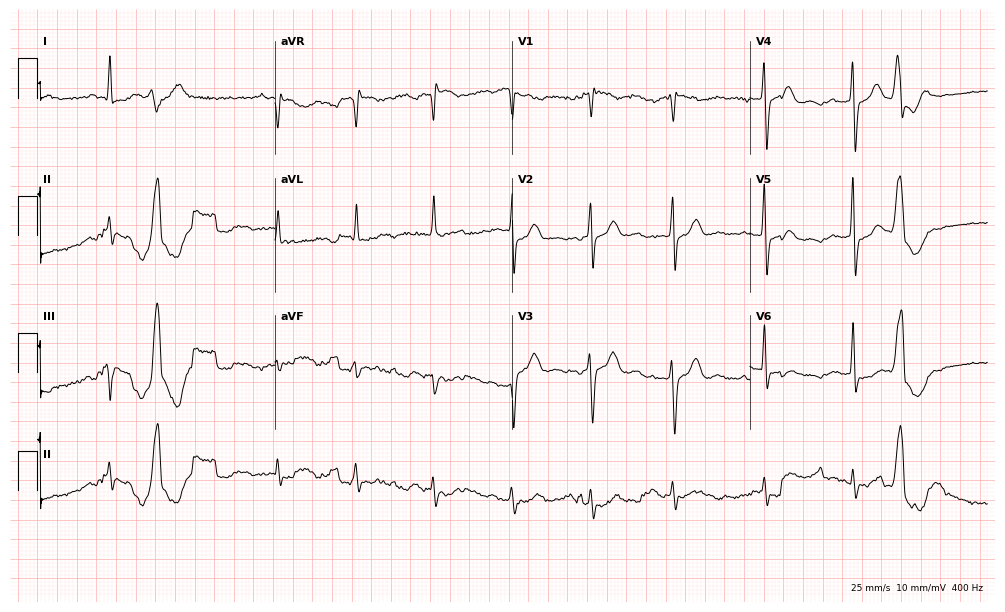
Electrocardiogram, an 83-year-old male. Of the six screened findings (first-degree AV block, right bundle branch block (RBBB), left bundle branch block (LBBB), sinus bradycardia, atrial fibrillation (AF), sinus tachycardia), none is recorded.